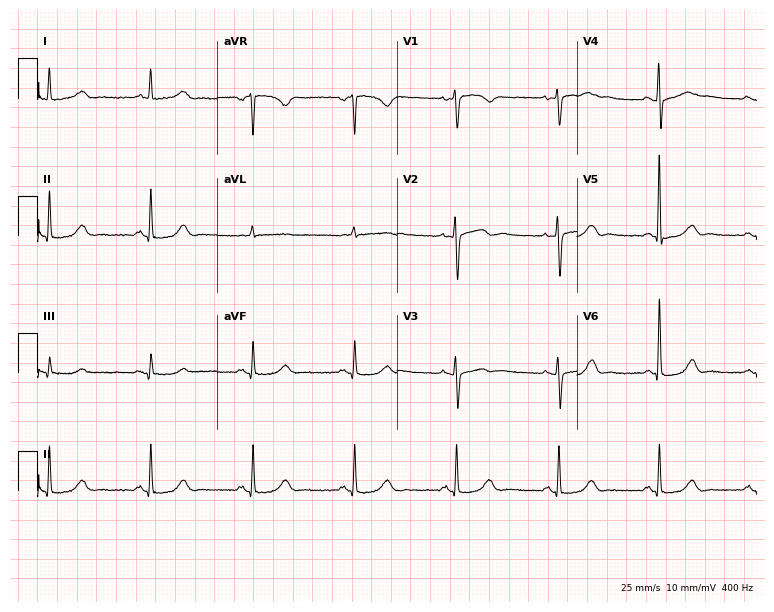
Resting 12-lead electrocardiogram (7.3-second recording at 400 Hz). Patient: a female, 62 years old. Read as a normal ECG.